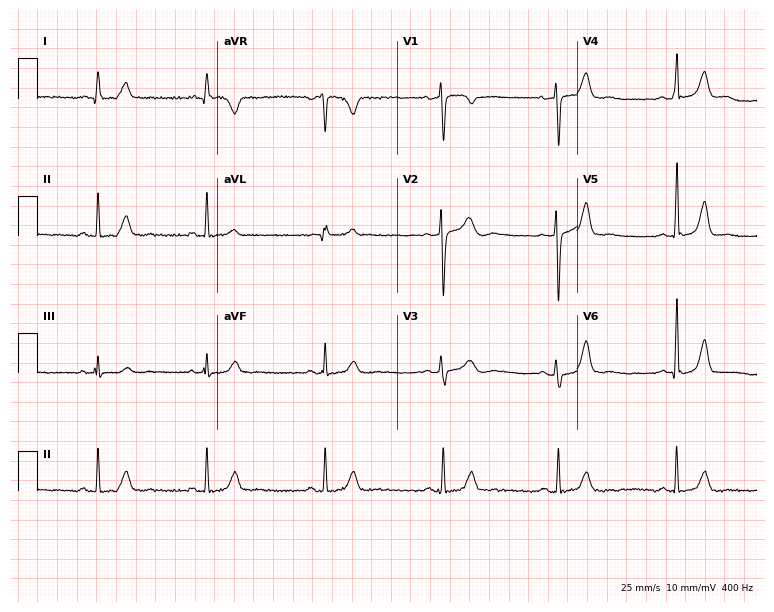
ECG (7.3-second recording at 400 Hz) — a 43-year-old female patient. Labelled as a normal ECG.